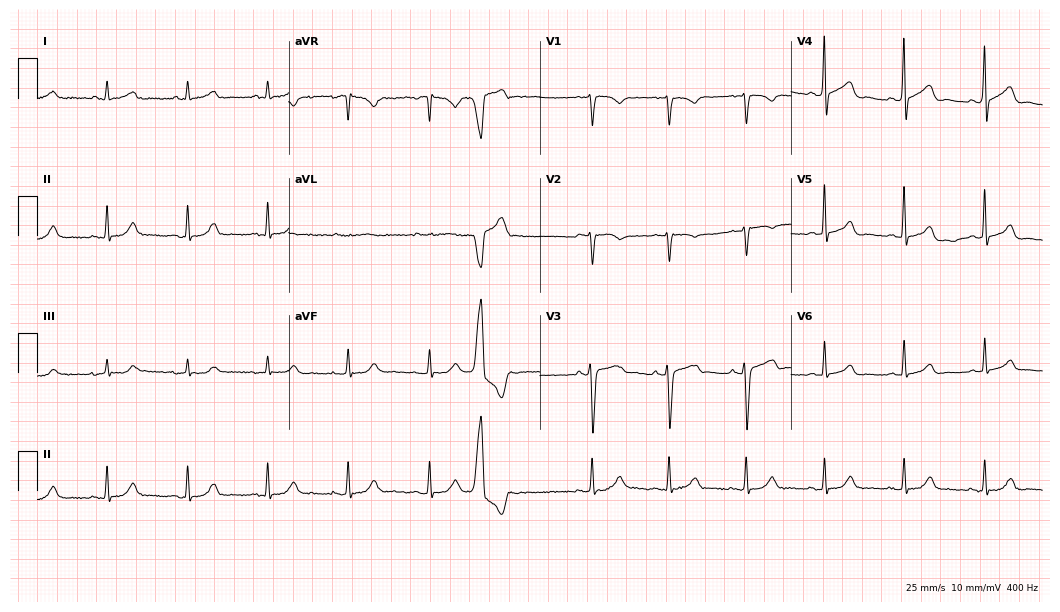
Resting 12-lead electrocardiogram (10.2-second recording at 400 Hz). Patient: a female, 69 years old. None of these six findings is recorded: first-degree AV block, right bundle branch block (RBBB), left bundle branch block (LBBB), sinus bradycardia, atrial fibrillation (AF), sinus tachycardia. Other findings, if any, are not listed.